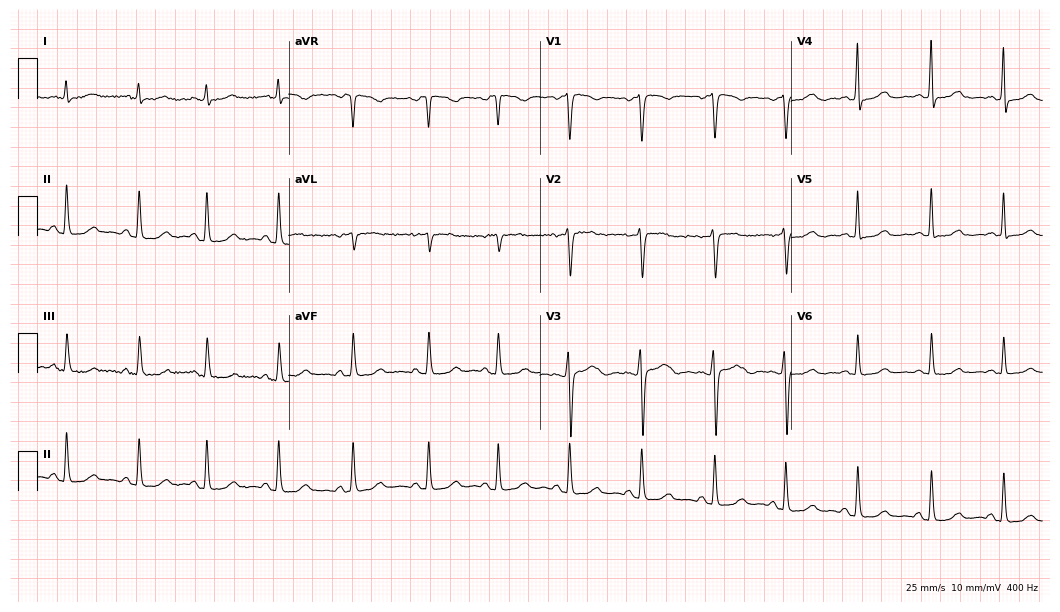
12-lead ECG from a 44-year-old female. Recorded interpretation: within normal limits.